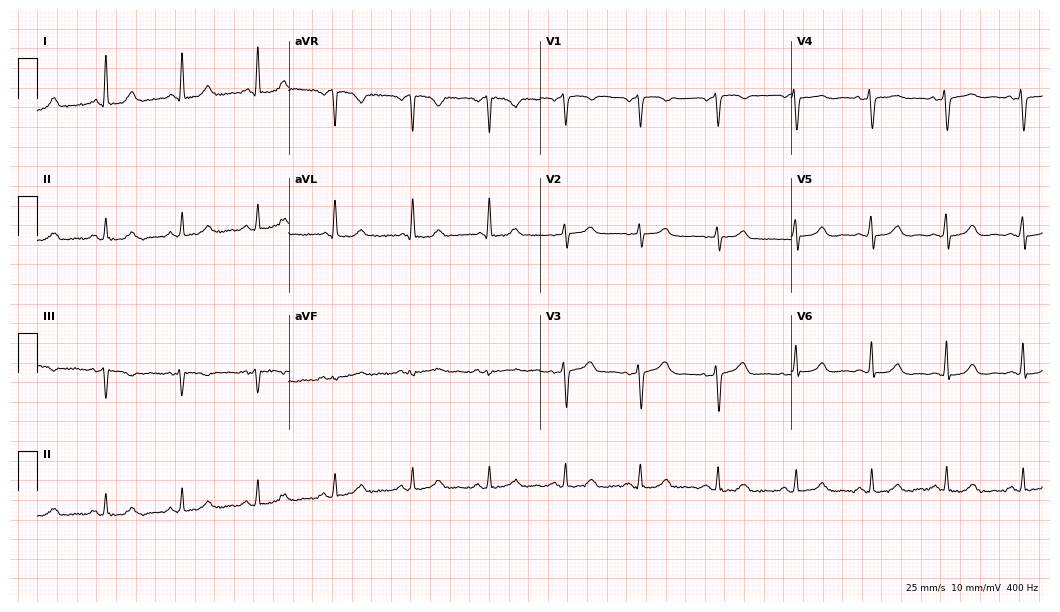
Resting 12-lead electrocardiogram (10.2-second recording at 400 Hz). Patient: a female, 54 years old. None of these six findings is recorded: first-degree AV block, right bundle branch block, left bundle branch block, sinus bradycardia, atrial fibrillation, sinus tachycardia. Findings outside these six are not listed.